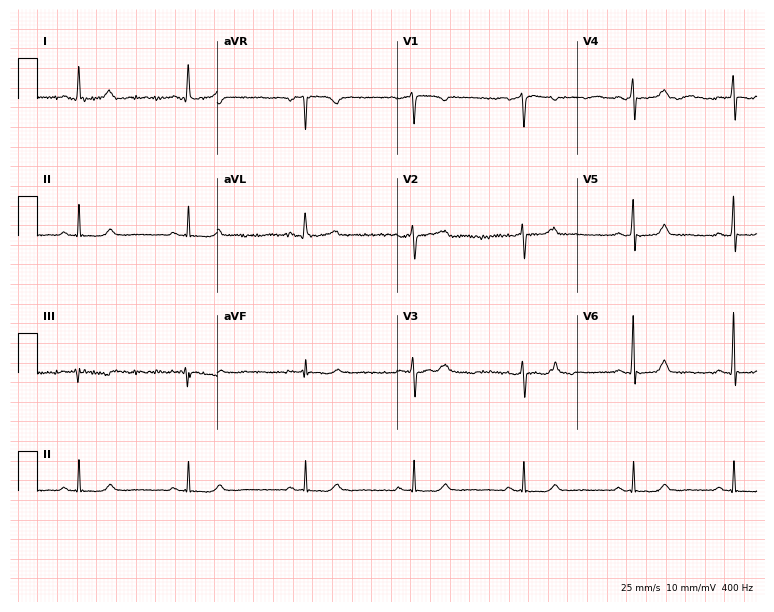
Resting 12-lead electrocardiogram. Patient: a female, 48 years old. None of these six findings is recorded: first-degree AV block, right bundle branch block, left bundle branch block, sinus bradycardia, atrial fibrillation, sinus tachycardia. Findings outside these six are not listed.